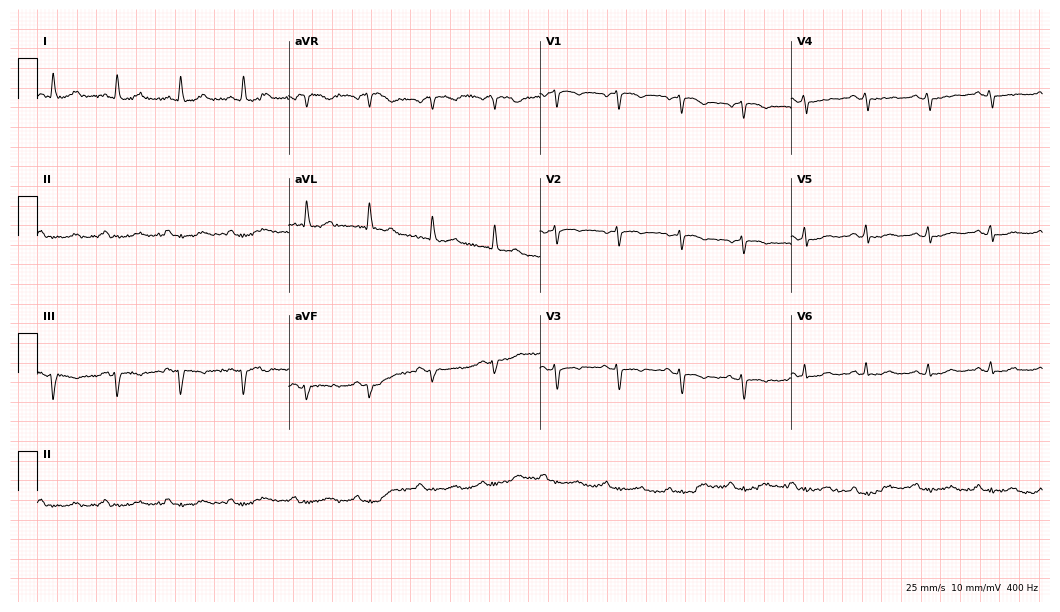
12-lead ECG from a female, 67 years old. Screened for six findings — first-degree AV block, right bundle branch block, left bundle branch block, sinus bradycardia, atrial fibrillation, sinus tachycardia — none is recorded.